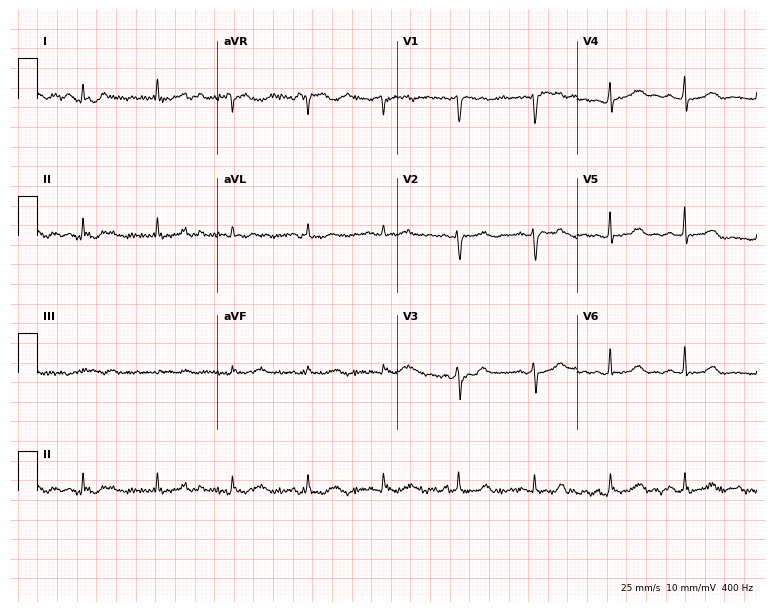
ECG — a female, 38 years old. Screened for six findings — first-degree AV block, right bundle branch block, left bundle branch block, sinus bradycardia, atrial fibrillation, sinus tachycardia — none is recorded. Findings outside these six are not listed.